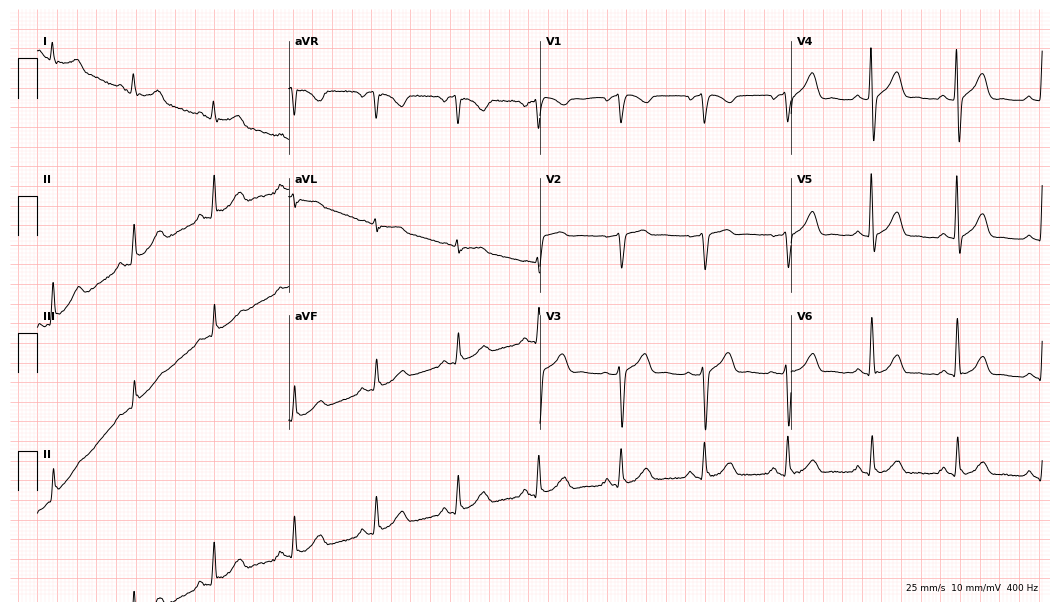
Standard 12-lead ECG recorded from a 68-year-old male (10.2-second recording at 400 Hz). None of these six findings is recorded: first-degree AV block, right bundle branch block (RBBB), left bundle branch block (LBBB), sinus bradycardia, atrial fibrillation (AF), sinus tachycardia.